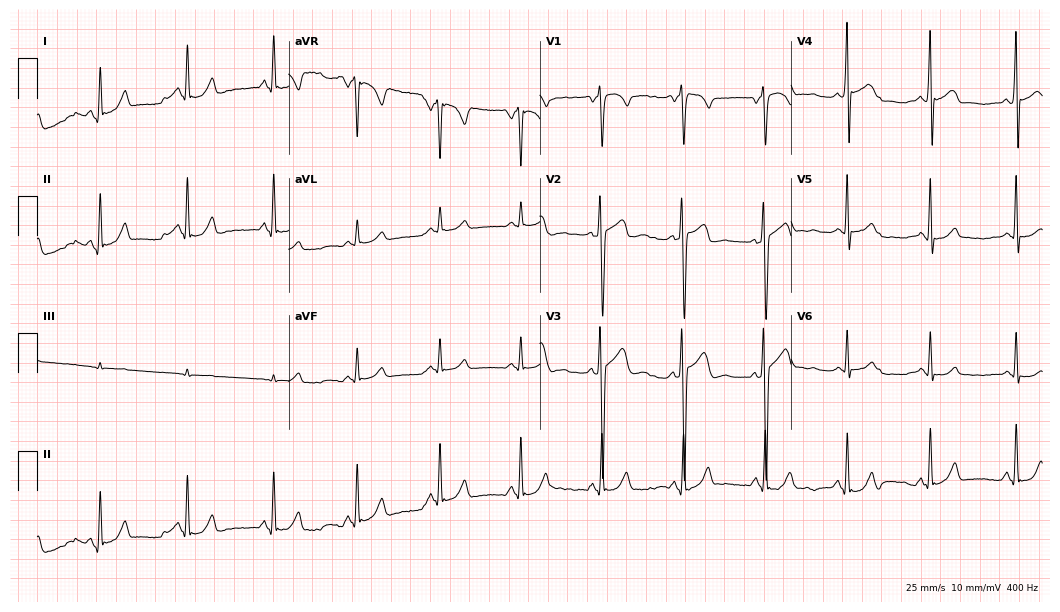
ECG — a 27-year-old male patient. Screened for six findings — first-degree AV block, right bundle branch block (RBBB), left bundle branch block (LBBB), sinus bradycardia, atrial fibrillation (AF), sinus tachycardia — none is recorded. Only these six findings were labelled.